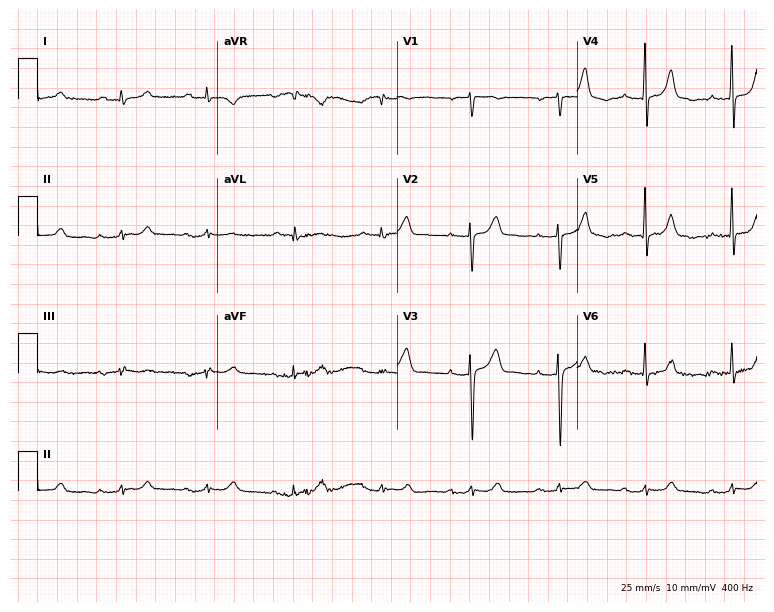
Standard 12-lead ECG recorded from a 68-year-old female (7.3-second recording at 400 Hz). None of these six findings is recorded: first-degree AV block, right bundle branch block (RBBB), left bundle branch block (LBBB), sinus bradycardia, atrial fibrillation (AF), sinus tachycardia. Findings outside these six are not listed.